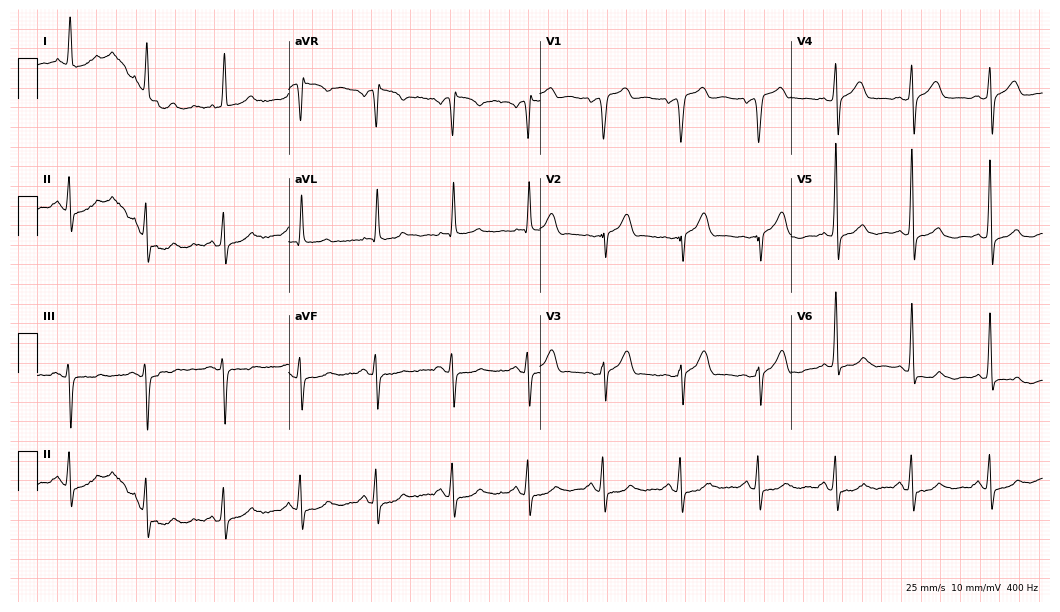
Electrocardiogram (10.2-second recording at 400 Hz), a 70-year-old man. Of the six screened findings (first-degree AV block, right bundle branch block, left bundle branch block, sinus bradycardia, atrial fibrillation, sinus tachycardia), none is recorded.